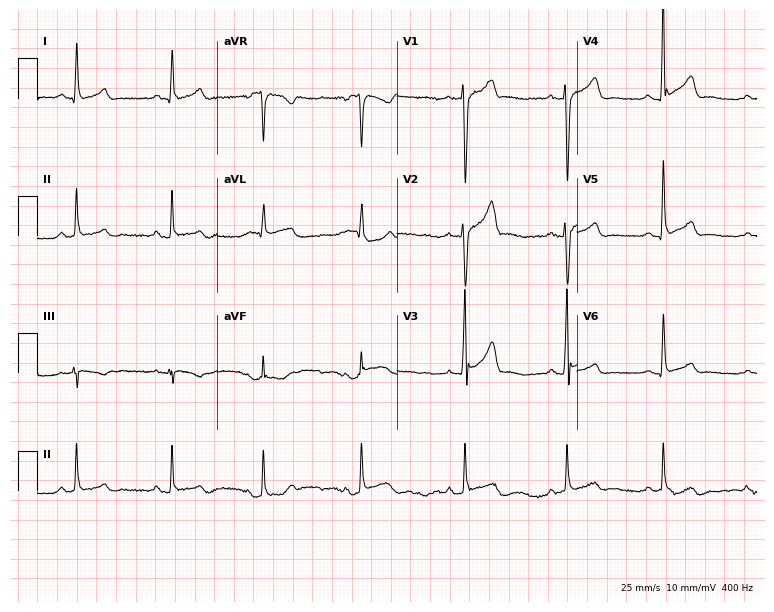
12-lead ECG from a male, 31 years old (7.3-second recording at 400 Hz). Recorded interpretation: within normal limits.